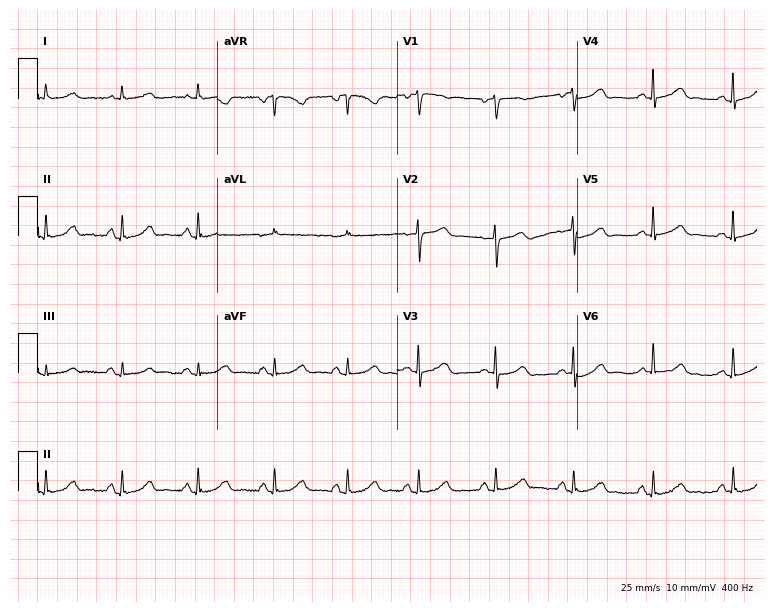
12-lead ECG from a female patient, 81 years old (7.3-second recording at 400 Hz). Recorded interpretation: within normal limits.